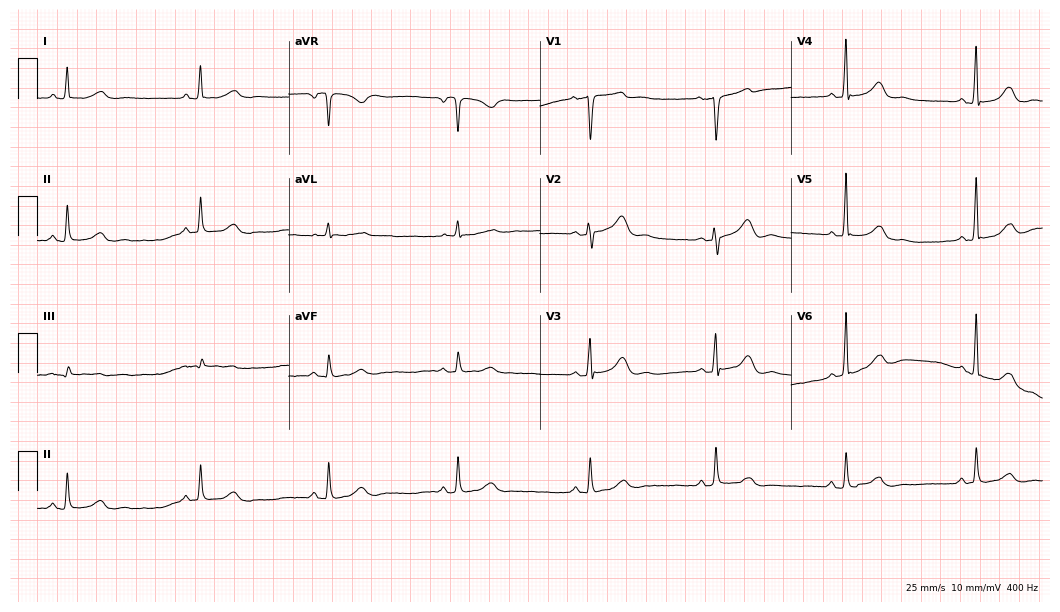
ECG — a 62-year-old man. Findings include sinus bradycardia (a sinus rate of 50 beats per minute or less).